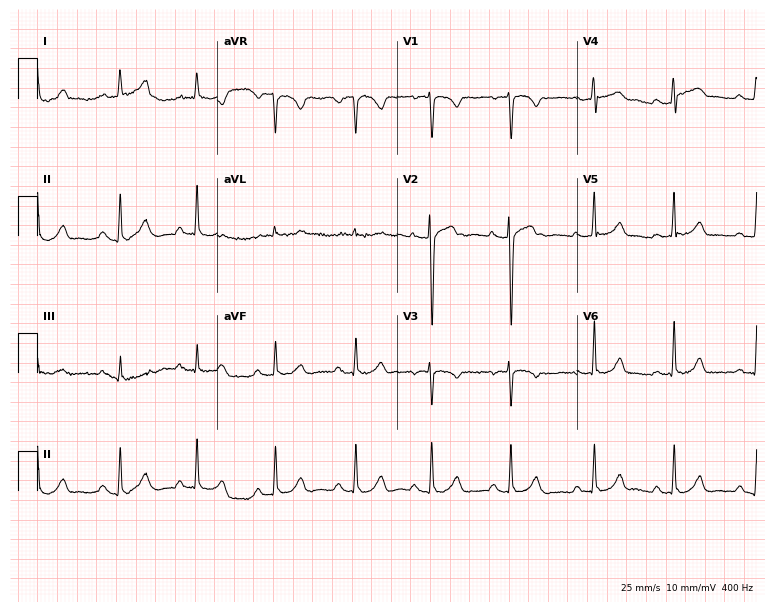
12-lead ECG from a 24-year-old woman. Recorded interpretation: within normal limits.